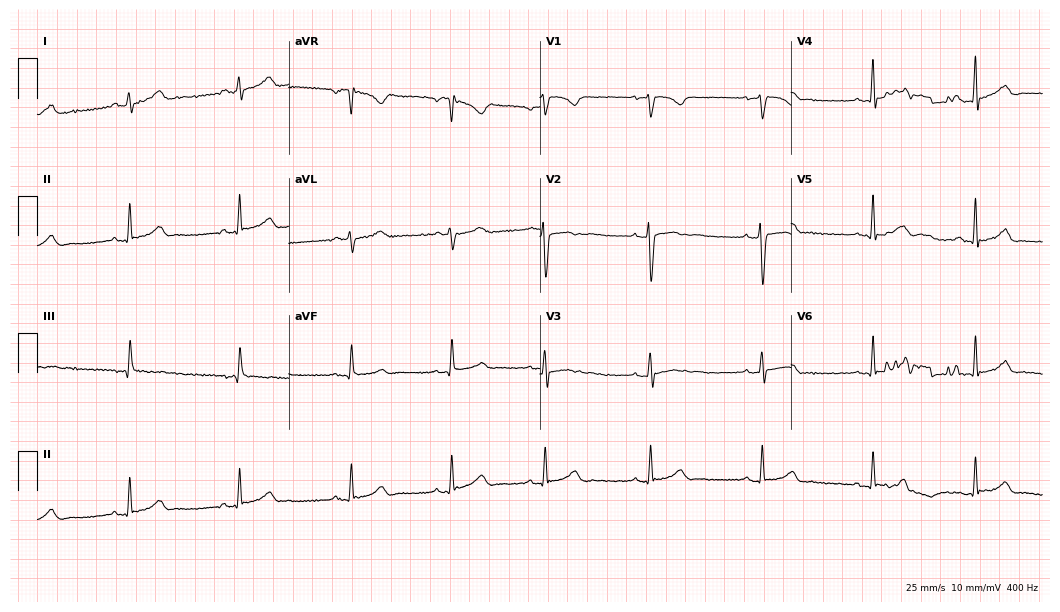
12-lead ECG from a female, 23 years old. No first-degree AV block, right bundle branch block, left bundle branch block, sinus bradycardia, atrial fibrillation or sinus tachycardia recorded for this tracing. Only these six findings were labelled.